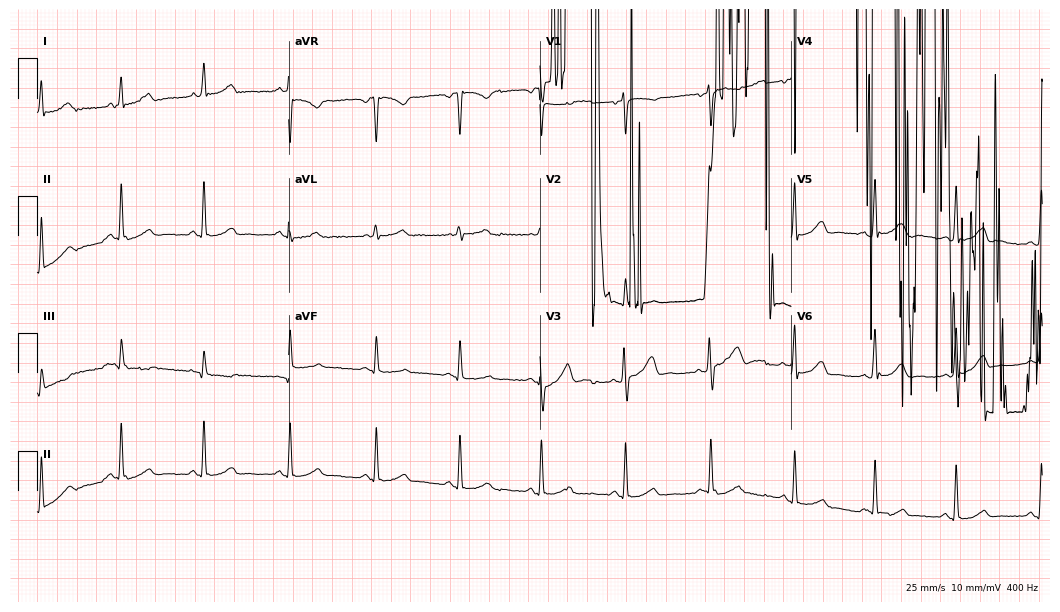
Electrocardiogram, a 44-year-old female. Of the six screened findings (first-degree AV block, right bundle branch block (RBBB), left bundle branch block (LBBB), sinus bradycardia, atrial fibrillation (AF), sinus tachycardia), none is recorded.